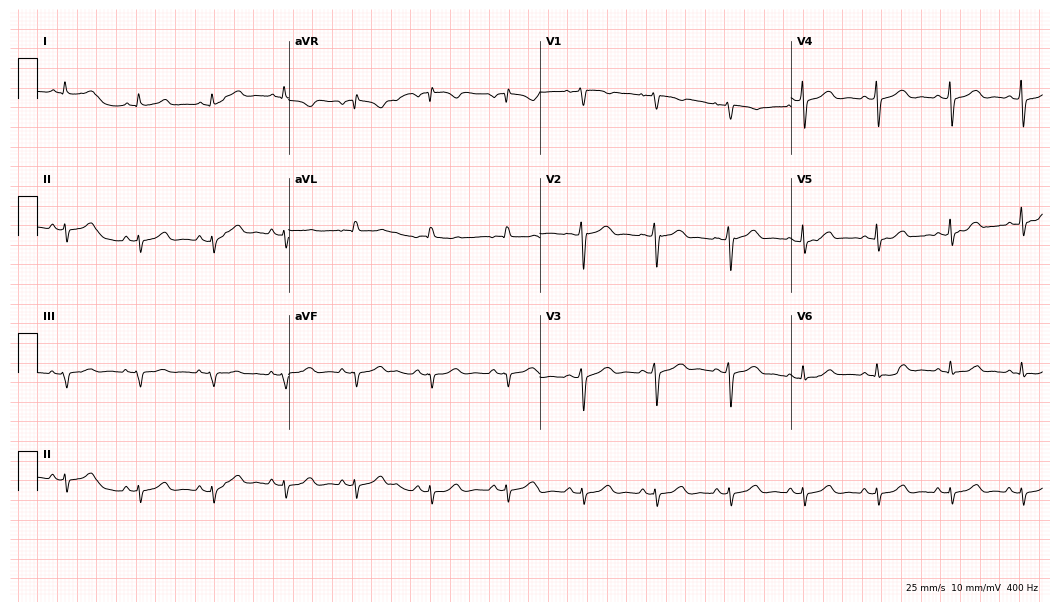
Electrocardiogram, a female, 44 years old. Of the six screened findings (first-degree AV block, right bundle branch block, left bundle branch block, sinus bradycardia, atrial fibrillation, sinus tachycardia), none is recorded. Findings outside these six are not listed.